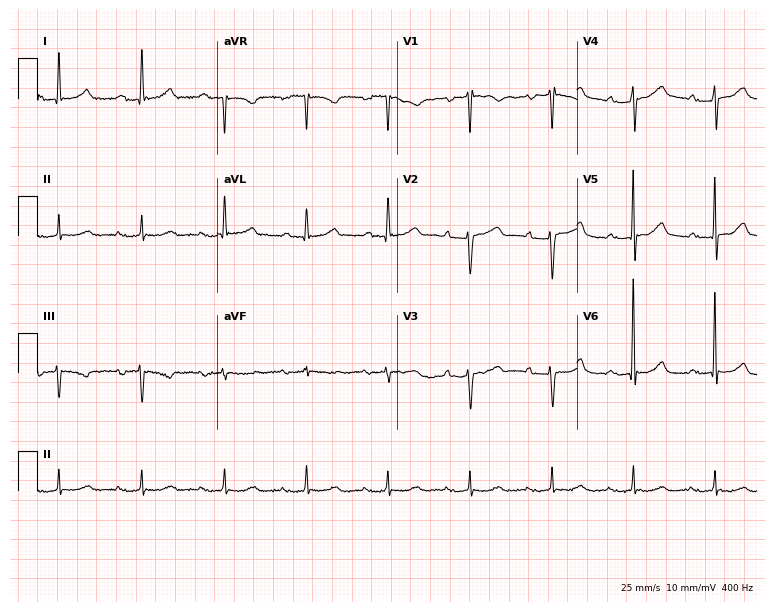
12-lead ECG from a male patient, 68 years old. Shows first-degree AV block.